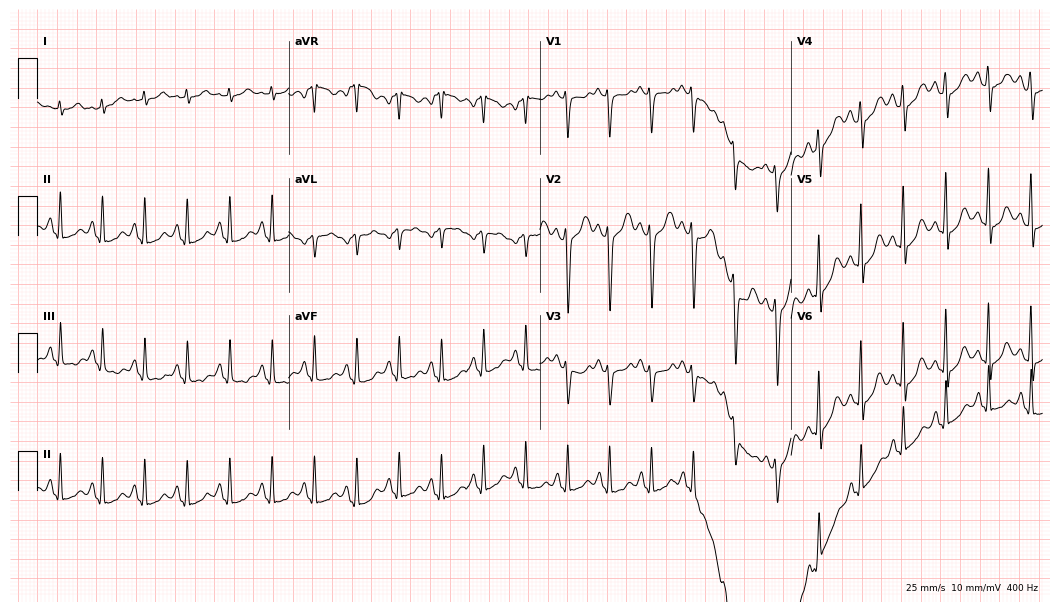
Standard 12-lead ECG recorded from a 45-year-old woman (10.2-second recording at 400 Hz). The tracing shows sinus tachycardia (a sinus rate of 100 beats per minute or more).